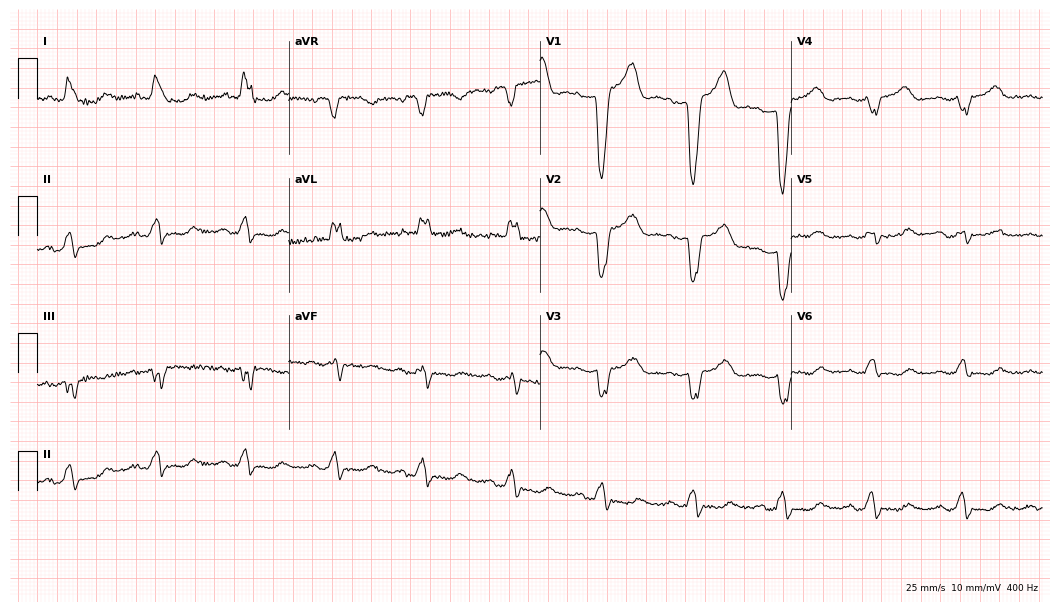
Standard 12-lead ECG recorded from a female, 77 years old. None of these six findings is recorded: first-degree AV block, right bundle branch block, left bundle branch block, sinus bradycardia, atrial fibrillation, sinus tachycardia.